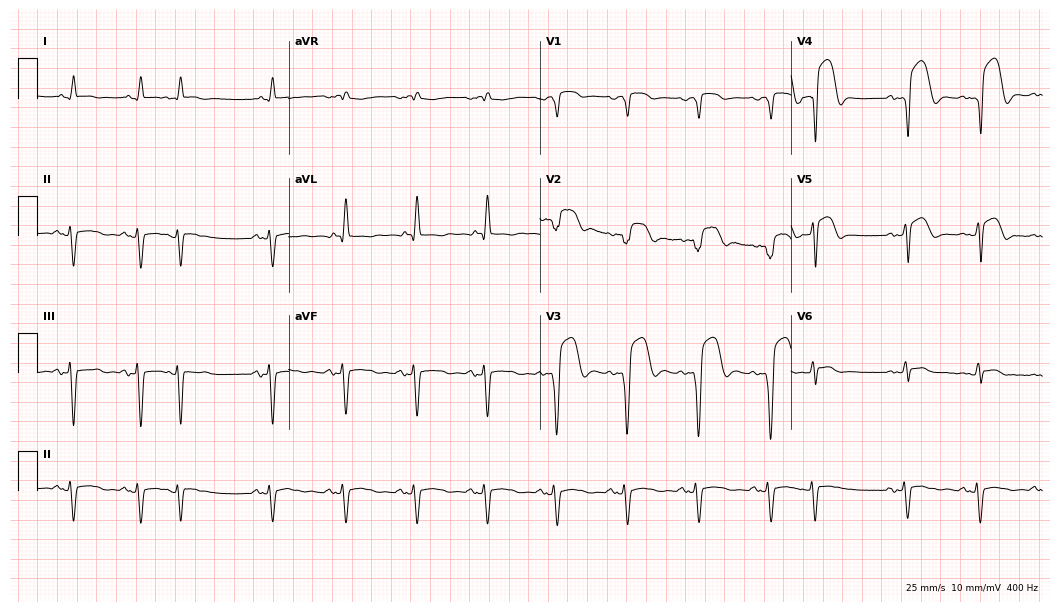
Resting 12-lead electrocardiogram (10.2-second recording at 400 Hz). Patient: a man, 60 years old. None of these six findings is recorded: first-degree AV block, right bundle branch block (RBBB), left bundle branch block (LBBB), sinus bradycardia, atrial fibrillation (AF), sinus tachycardia. Other findings, if any, are not listed.